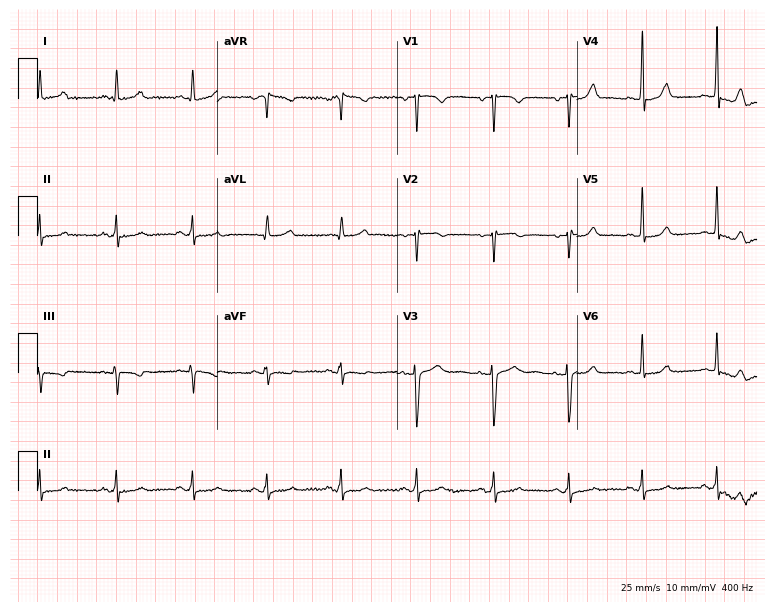
ECG (7.3-second recording at 400 Hz) — a woman, 56 years old. Screened for six findings — first-degree AV block, right bundle branch block (RBBB), left bundle branch block (LBBB), sinus bradycardia, atrial fibrillation (AF), sinus tachycardia — none is recorded.